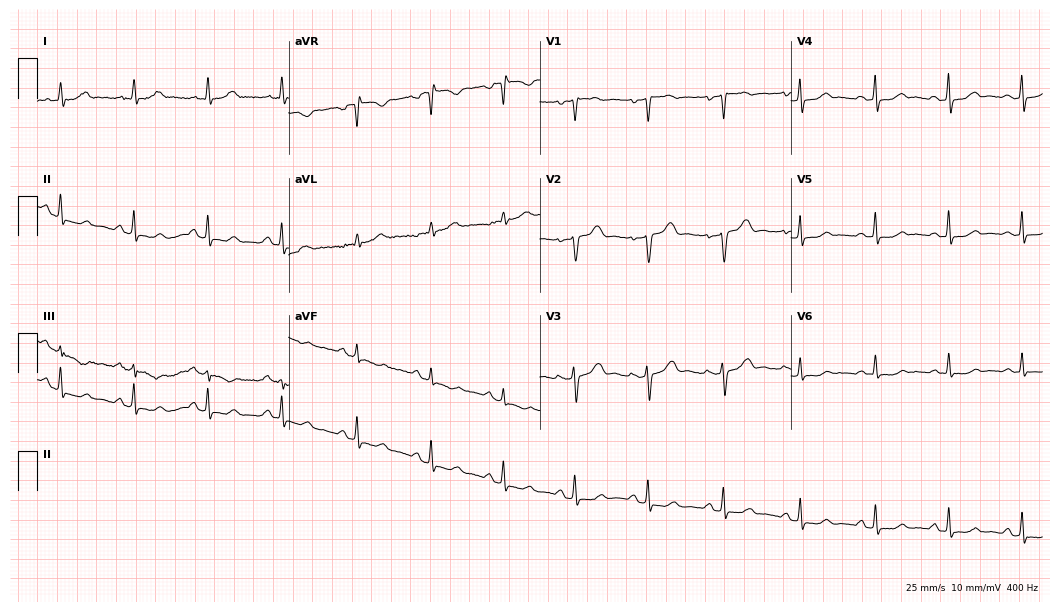
Electrocardiogram, a woman, 45 years old. Of the six screened findings (first-degree AV block, right bundle branch block, left bundle branch block, sinus bradycardia, atrial fibrillation, sinus tachycardia), none is recorded.